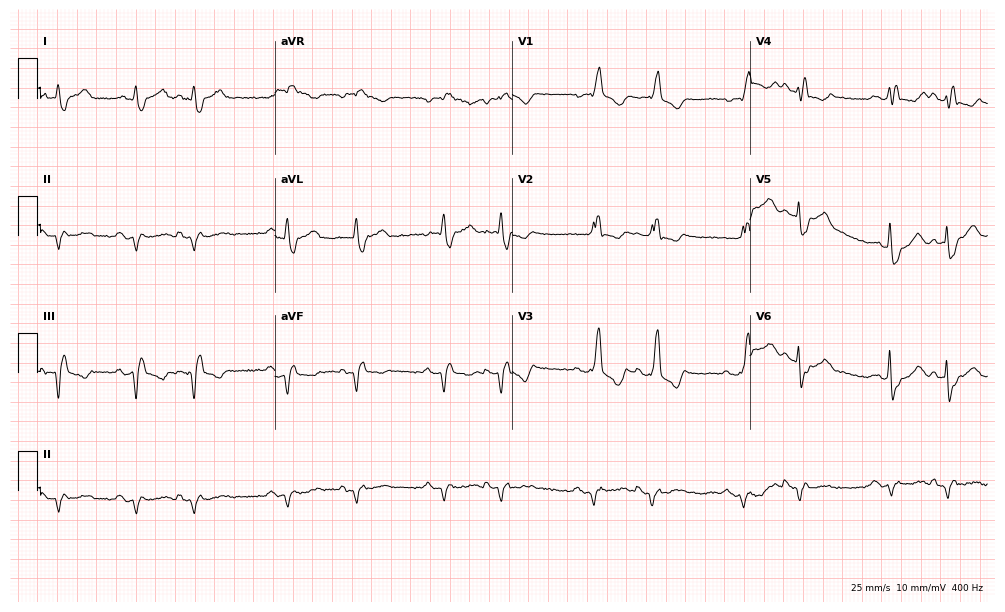
Standard 12-lead ECG recorded from a male patient, 82 years old. The tracing shows right bundle branch block (RBBB).